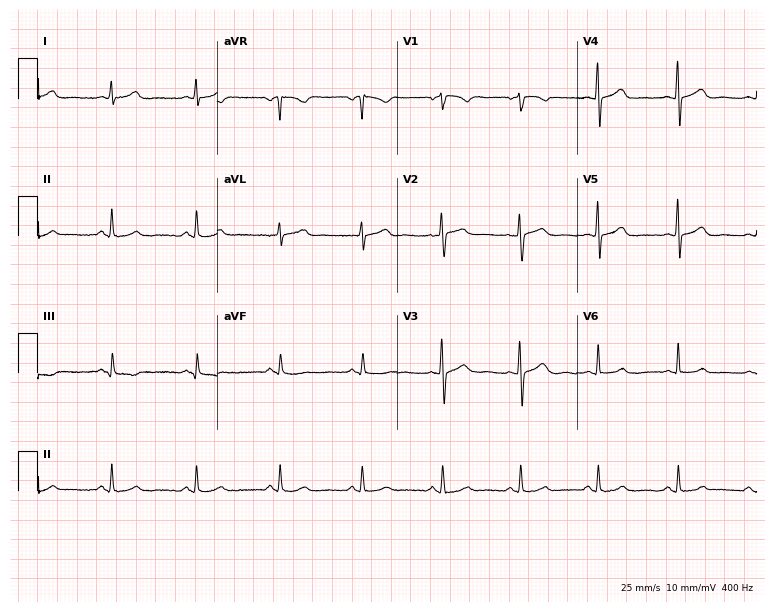
12-lead ECG from a female, 44 years old. No first-degree AV block, right bundle branch block (RBBB), left bundle branch block (LBBB), sinus bradycardia, atrial fibrillation (AF) or sinus tachycardia recorded for this tracing.